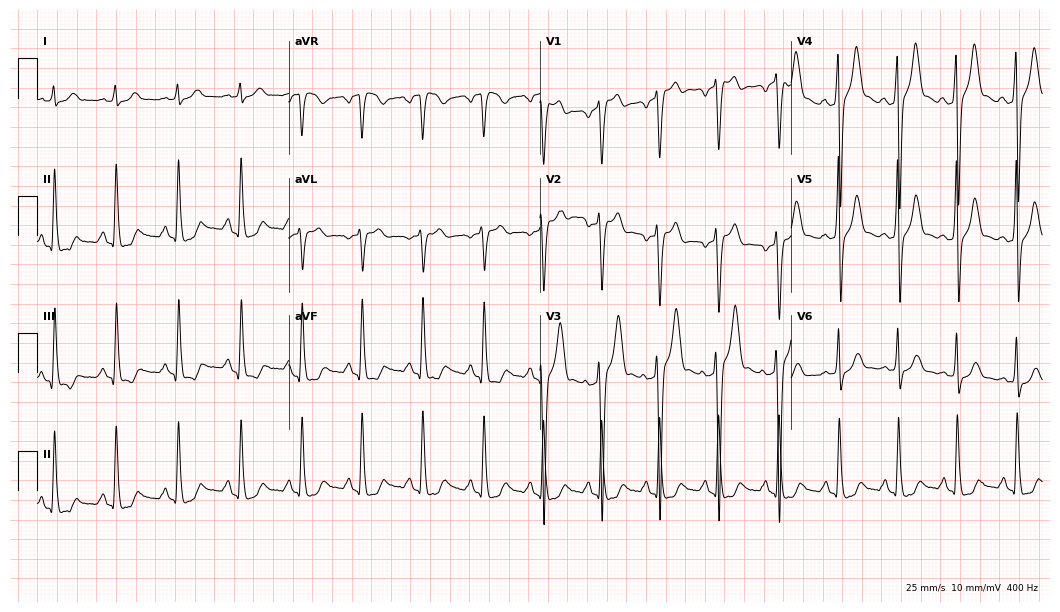
12-lead ECG from a man, 57 years old (10.2-second recording at 400 Hz). No first-degree AV block, right bundle branch block, left bundle branch block, sinus bradycardia, atrial fibrillation or sinus tachycardia recorded for this tracing.